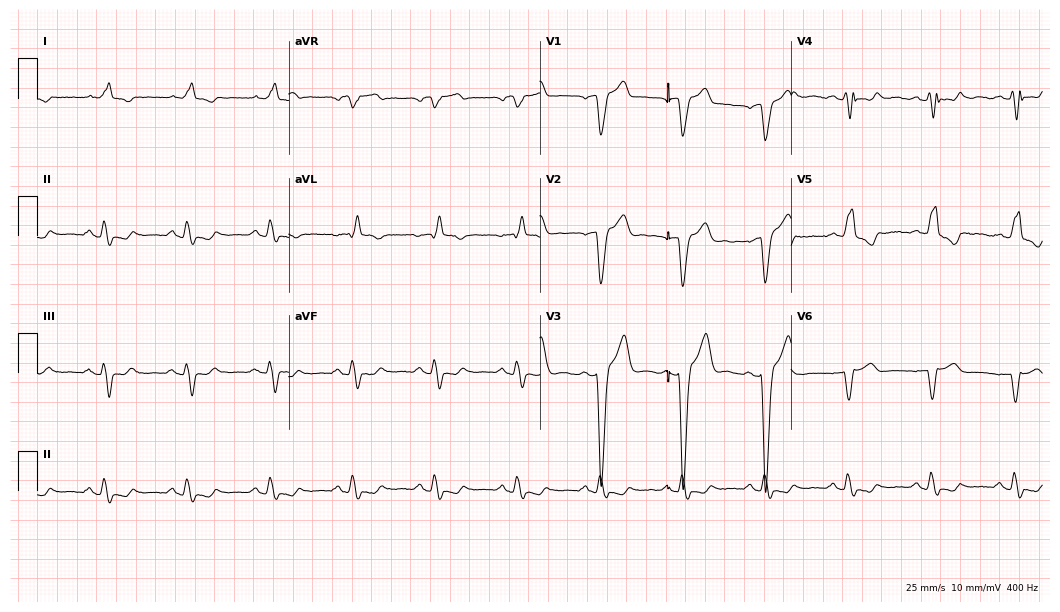
ECG (10.2-second recording at 400 Hz) — a man, 67 years old. Findings include left bundle branch block.